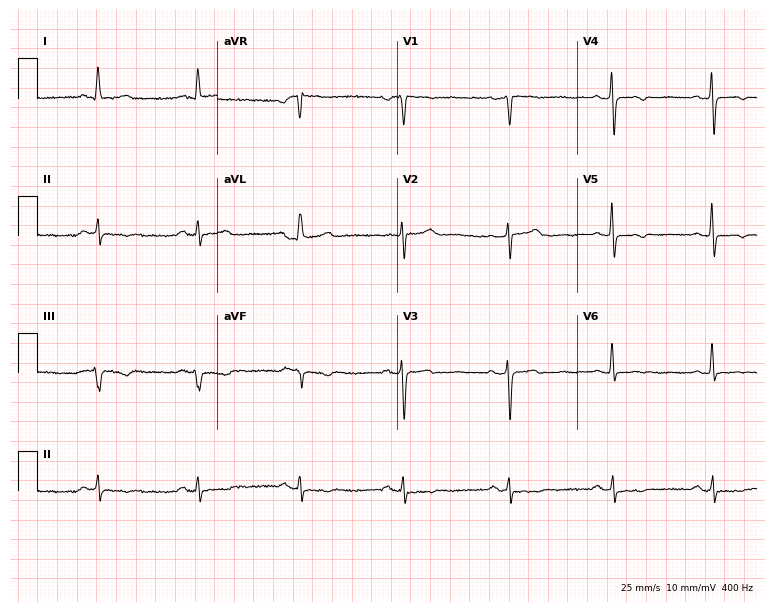
12-lead ECG from a female, 57 years old (7.3-second recording at 400 Hz). Recorded interpretation: within normal limits.